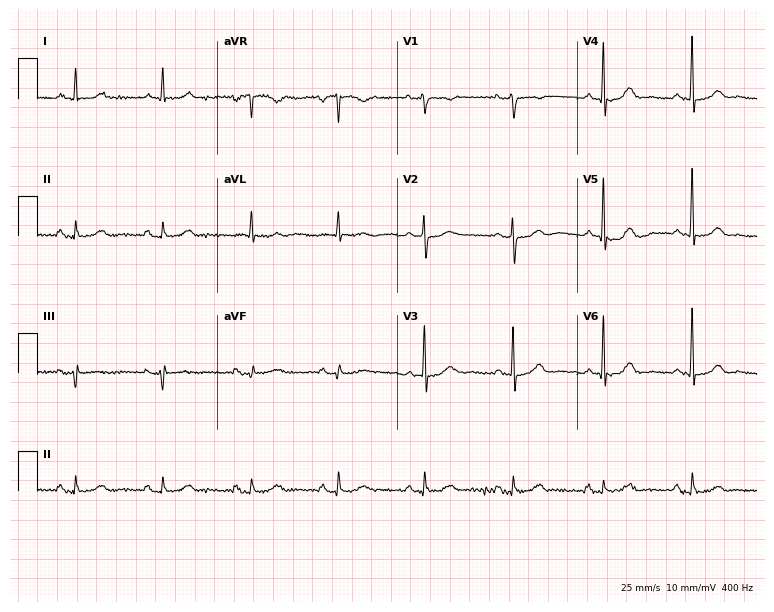
Resting 12-lead electrocardiogram. Patient: a female, 63 years old. Read as a normal ECG.